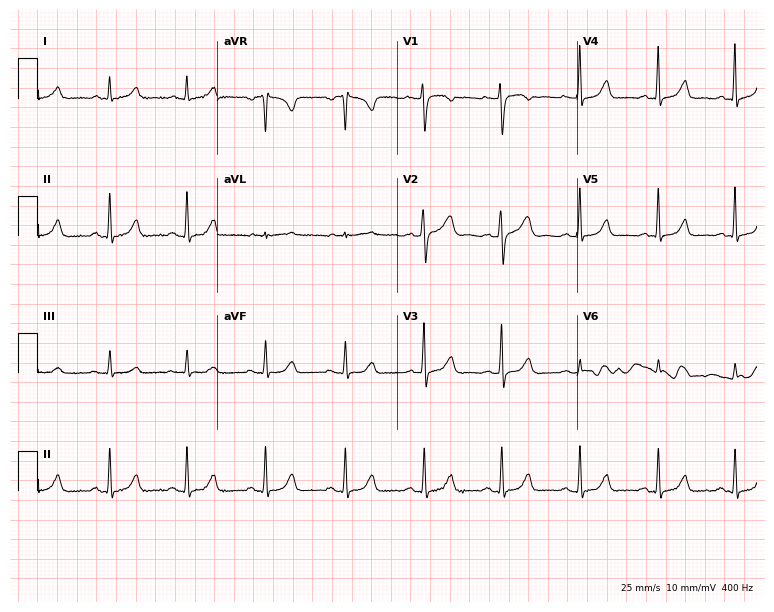
Standard 12-lead ECG recorded from a woman, 48 years old (7.3-second recording at 400 Hz). None of these six findings is recorded: first-degree AV block, right bundle branch block (RBBB), left bundle branch block (LBBB), sinus bradycardia, atrial fibrillation (AF), sinus tachycardia.